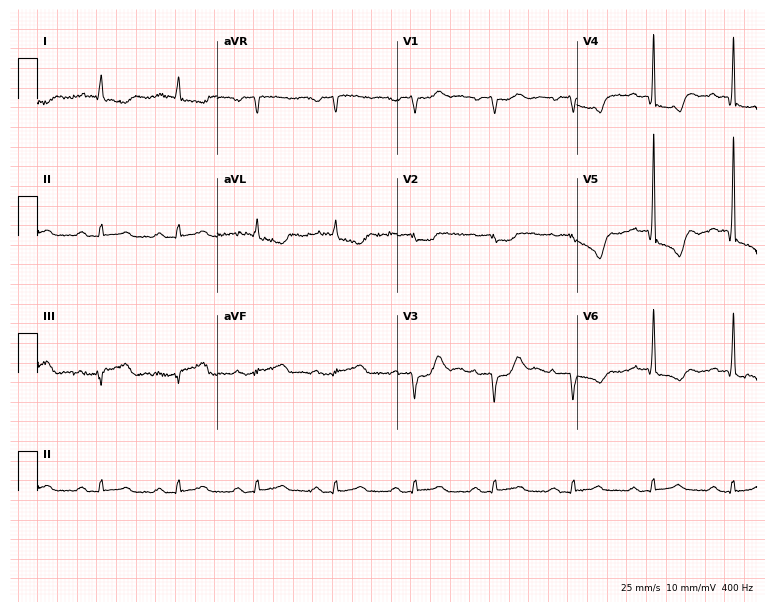
ECG (7.3-second recording at 400 Hz) — a male patient, 71 years old. Screened for six findings — first-degree AV block, right bundle branch block, left bundle branch block, sinus bradycardia, atrial fibrillation, sinus tachycardia — none is recorded.